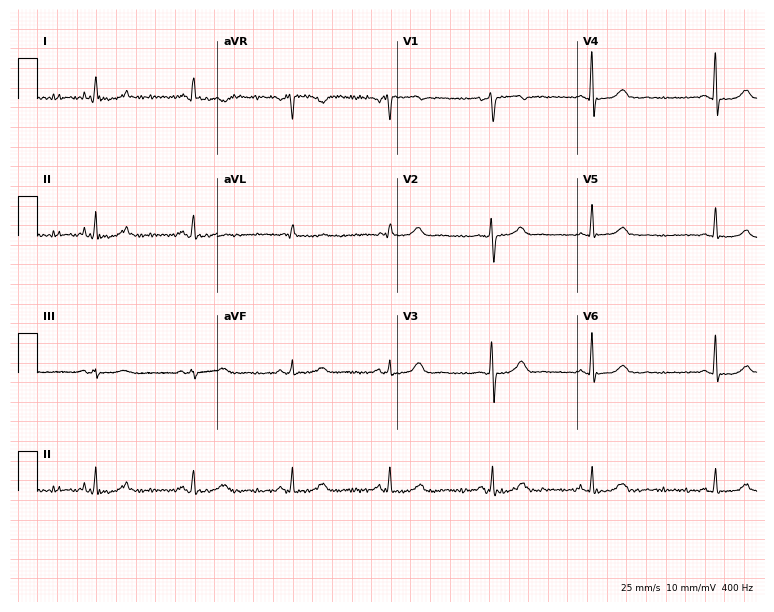
12-lead ECG (7.3-second recording at 400 Hz) from a 47-year-old female. Labelled as a normal ECG.